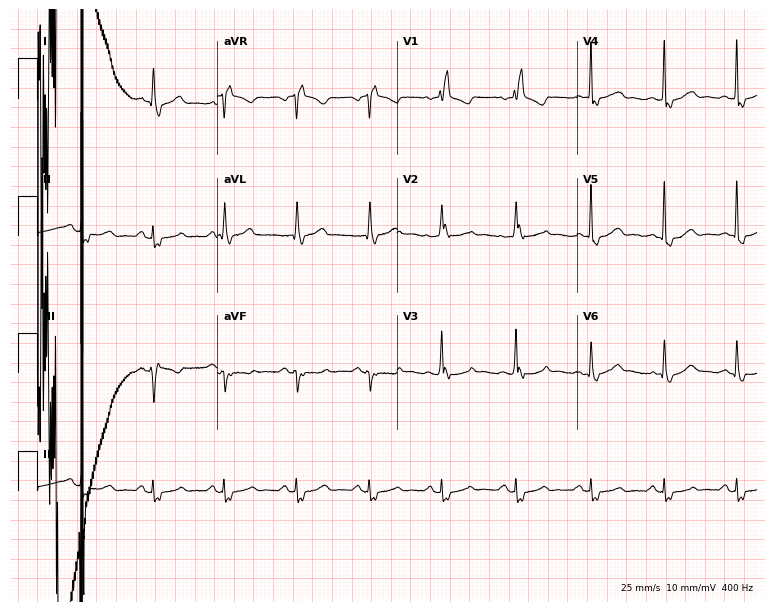
Electrocardiogram (7.3-second recording at 400 Hz), a 63-year-old female patient. Interpretation includes right bundle branch block.